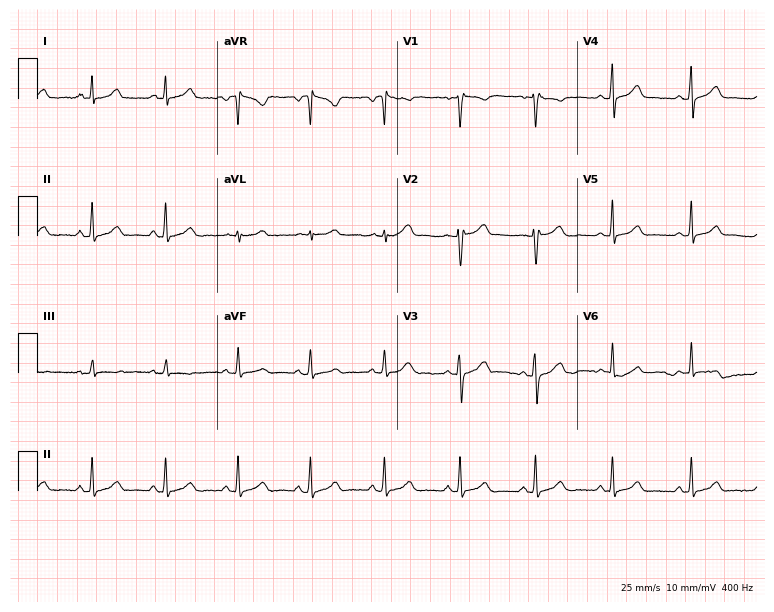
12-lead ECG from a 35-year-old woman. Recorded interpretation: within normal limits.